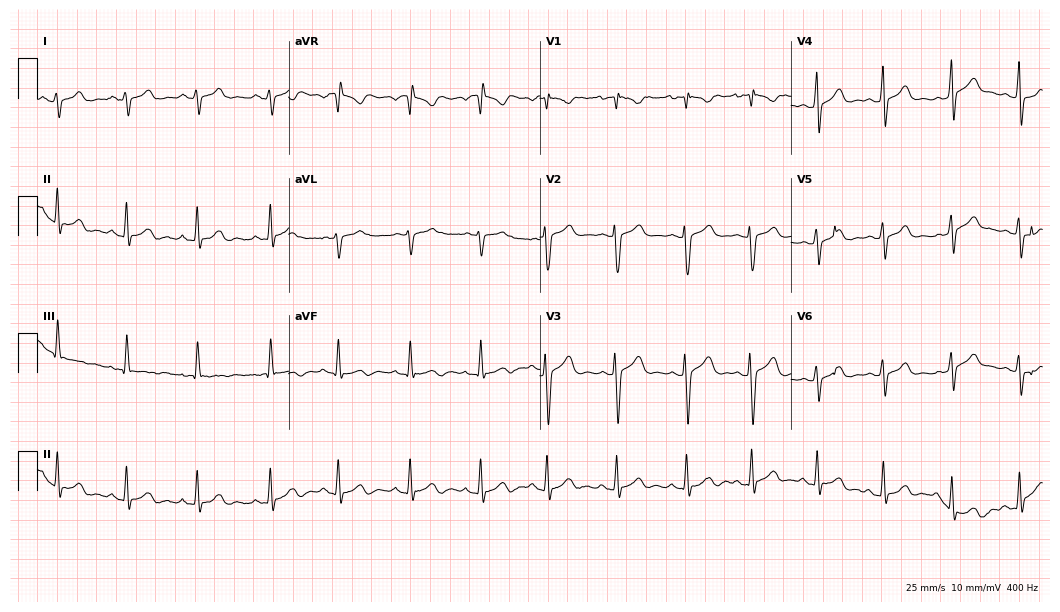
12-lead ECG from a 20-year-old female patient. Screened for six findings — first-degree AV block, right bundle branch block, left bundle branch block, sinus bradycardia, atrial fibrillation, sinus tachycardia — none is recorded. Only these six findings were labelled.